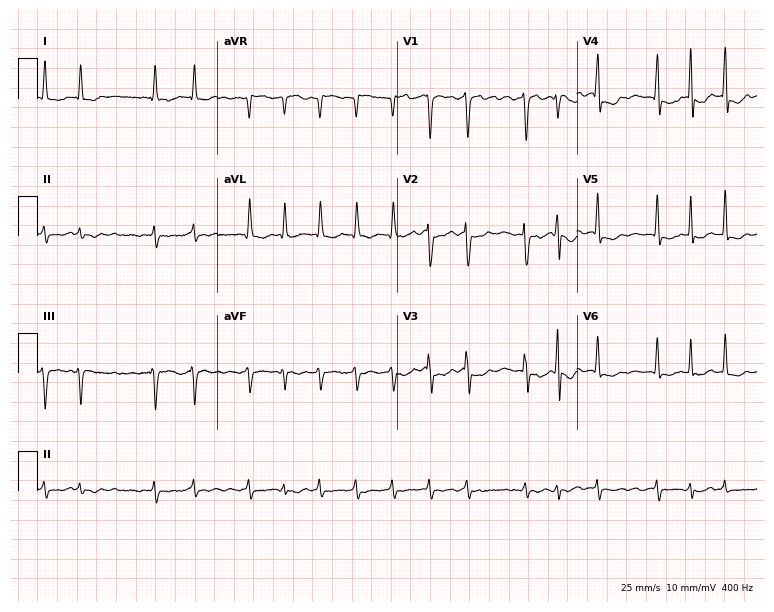
Resting 12-lead electrocardiogram. Patient: a female, 79 years old. The tracing shows atrial fibrillation.